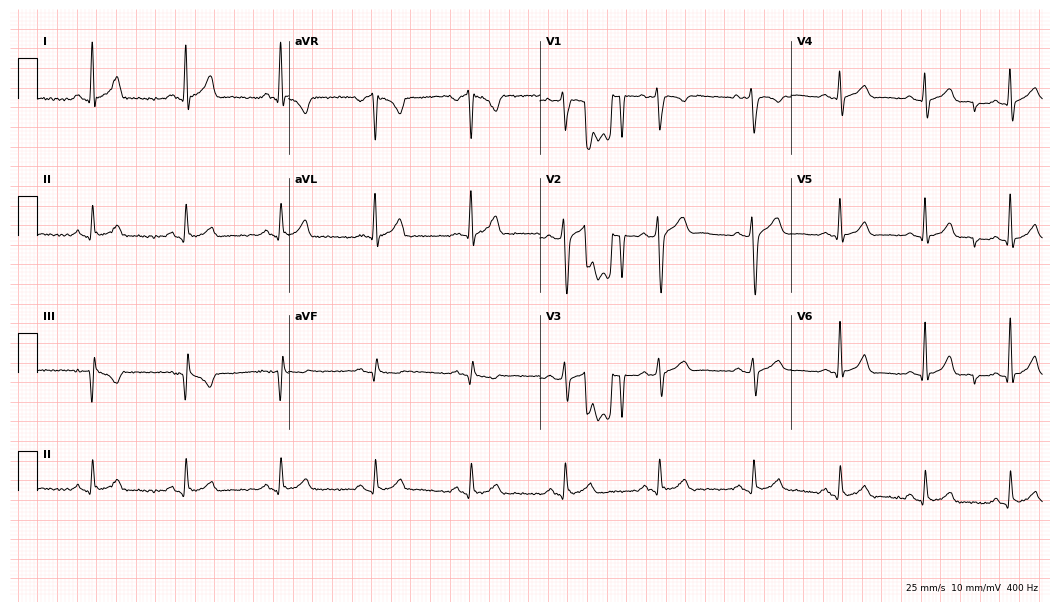
12-lead ECG from a male, 46 years old. Screened for six findings — first-degree AV block, right bundle branch block, left bundle branch block, sinus bradycardia, atrial fibrillation, sinus tachycardia — none is recorded. Other findings, if any, are not listed.